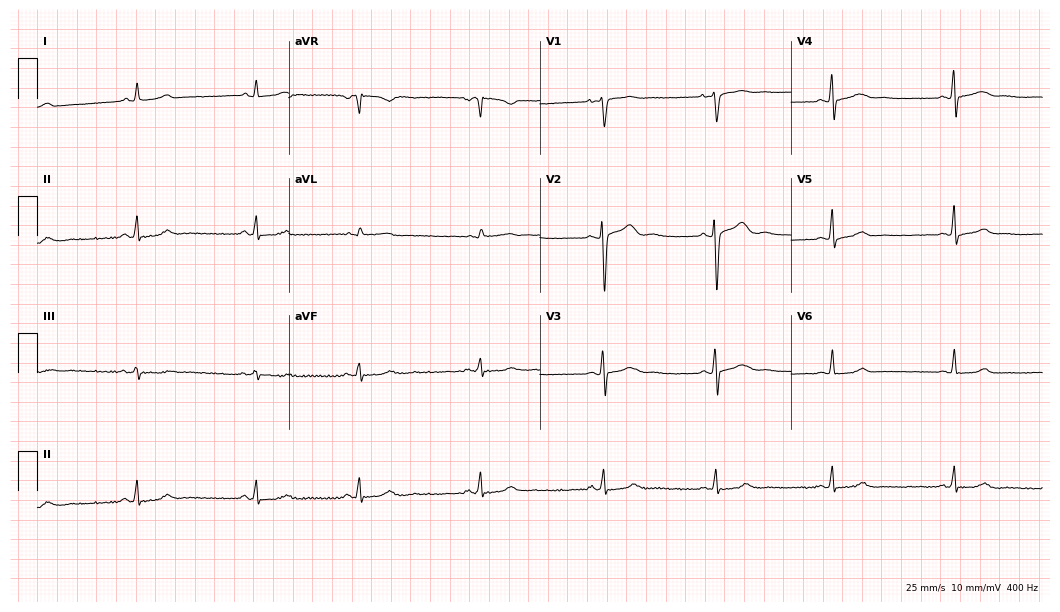
Resting 12-lead electrocardiogram. Patient: a woman, 21 years old. None of these six findings is recorded: first-degree AV block, right bundle branch block, left bundle branch block, sinus bradycardia, atrial fibrillation, sinus tachycardia.